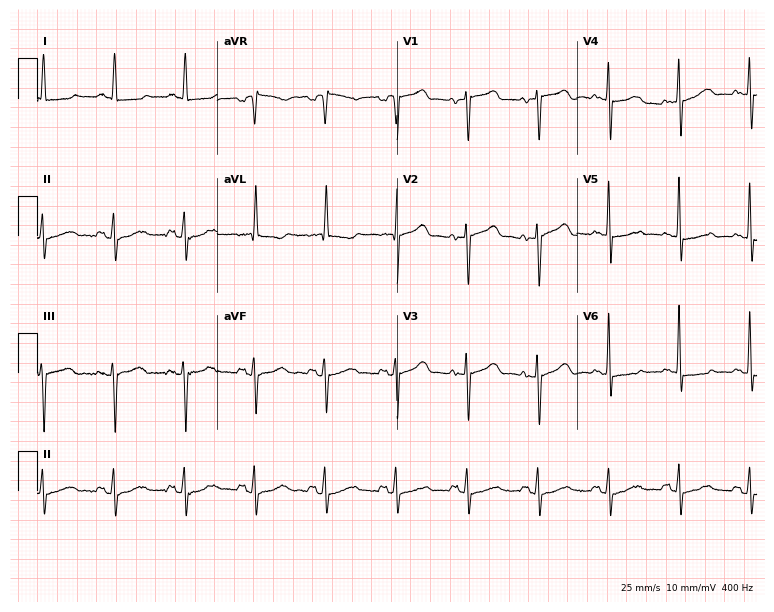
Standard 12-lead ECG recorded from a woman, 83 years old. None of these six findings is recorded: first-degree AV block, right bundle branch block, left bundle branch block, sinus bradycardia, atrial fibrillation, sinus tachycardia. Only these six findings were labelled.